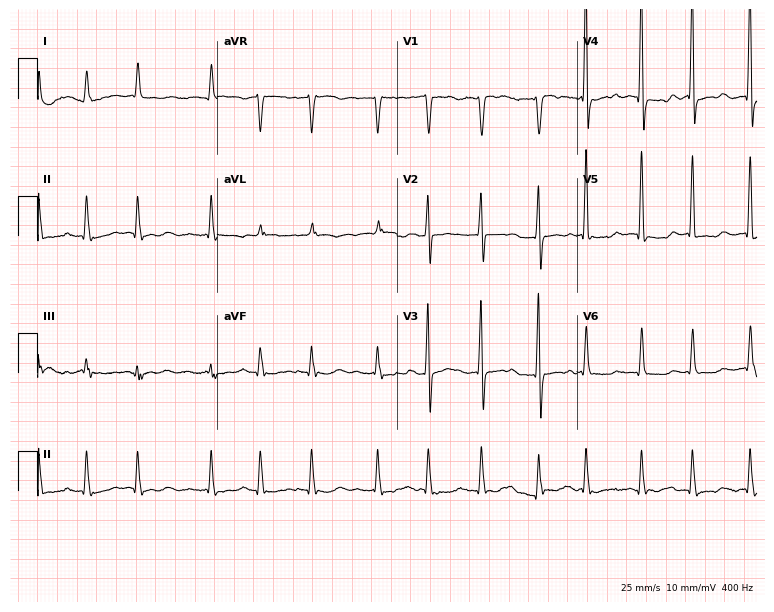
Electrocardiogram (7.3-second recording at 400 Hz), an 81-year-old male patient. Of the six screened findings (first-degree AV block, right bundle branch block, left bundle branch block, sinus bradycardia, atrial fibrillation, sinus tachycardia), none is recorded.